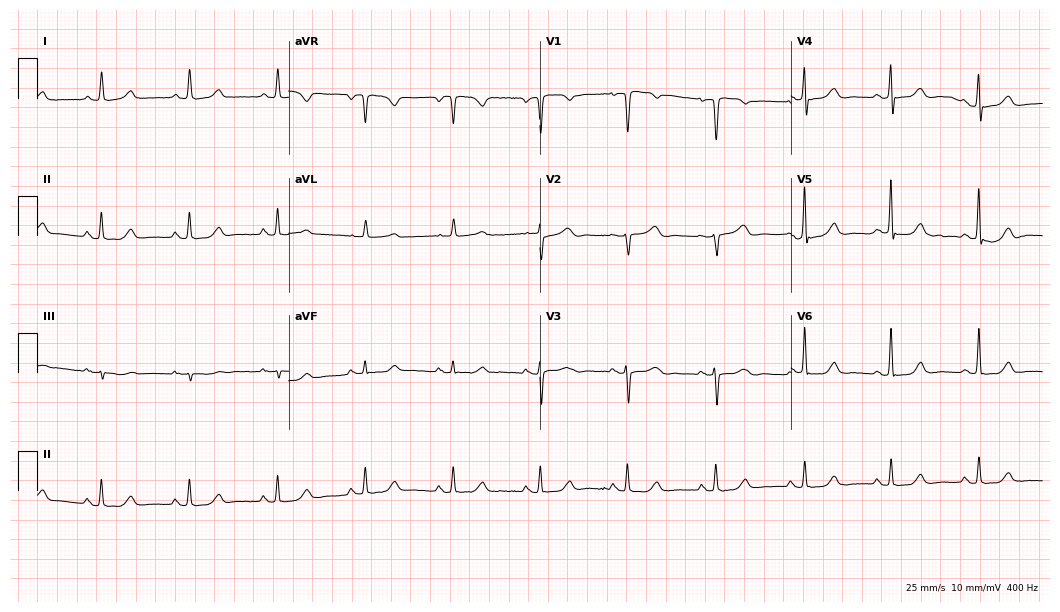
ECG (10.2-second recording at 400 Hz) — a 75-year-old woman. Labelled as a normal ECG.